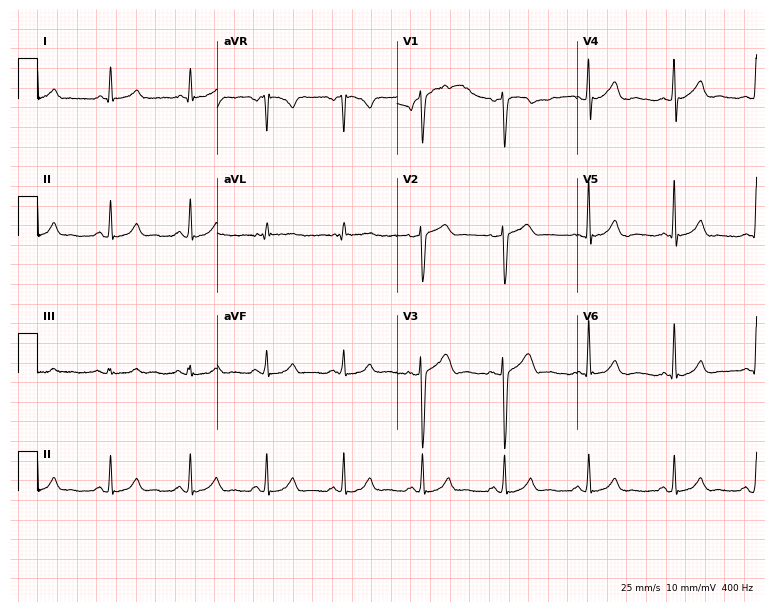
12-lead ECG from a 57-year-old man. Recorded interpretation: within normal limits.